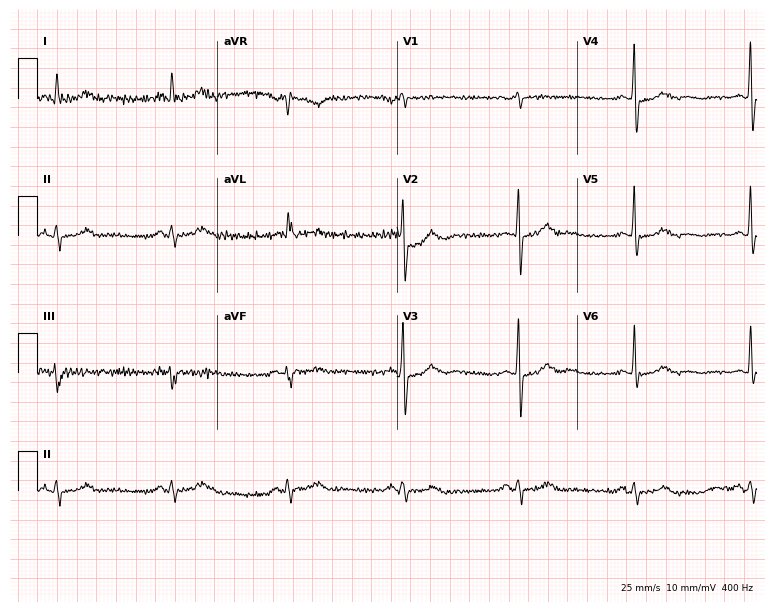
12-lead ECG from a 70-year-old male. Screened for six findings — first-degree AV block, right bundle branch block (RBBB), left bundle branch block (LBBB), sinus bradycardia, atrial fibrillation (AF), sinus tachycardia — none is recorded. Findings outside these six are not listed.